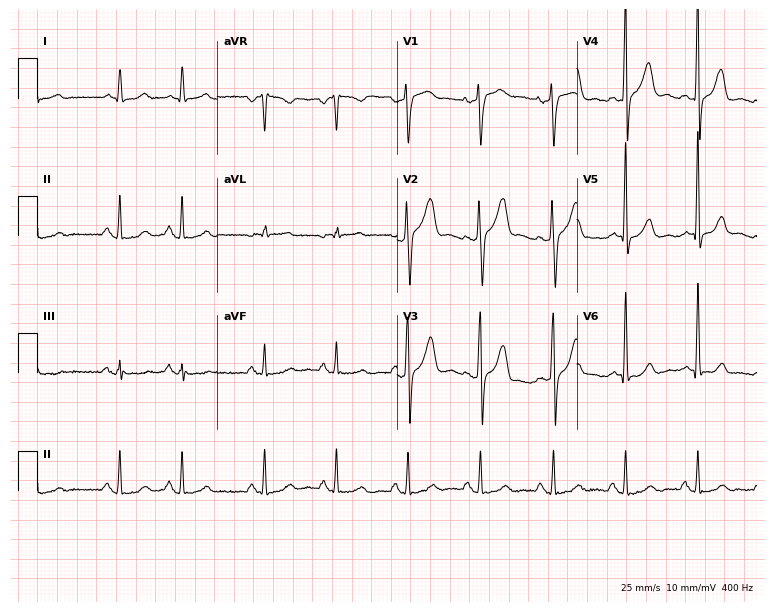
Standard 12-lead ECG recorded from a 69-year-old man (7.3-second recording at 400 Hz). None of these six findings is recorded: first-degree AV block, right bundle branch block (RBBB), left bundle branch block (LBBB), sinus bradycardia, atrial fibrillation (AF), sinus tachycardia. Other findings, if any, are not listed.